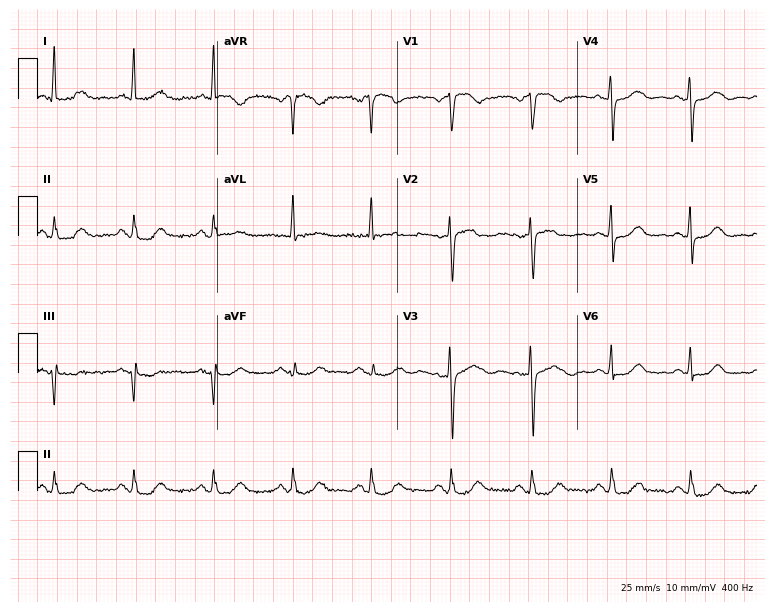
ECG (7.3-second recording at 400 Hz) — a woman, 74 years old. Screened for six findings — first-degree AV block, right bundle branch block, left bundle branch block, sinus bradycardia, atrial fibrillation, sinus tachycardia — none is recorded. Other findings, if any, are not listed.